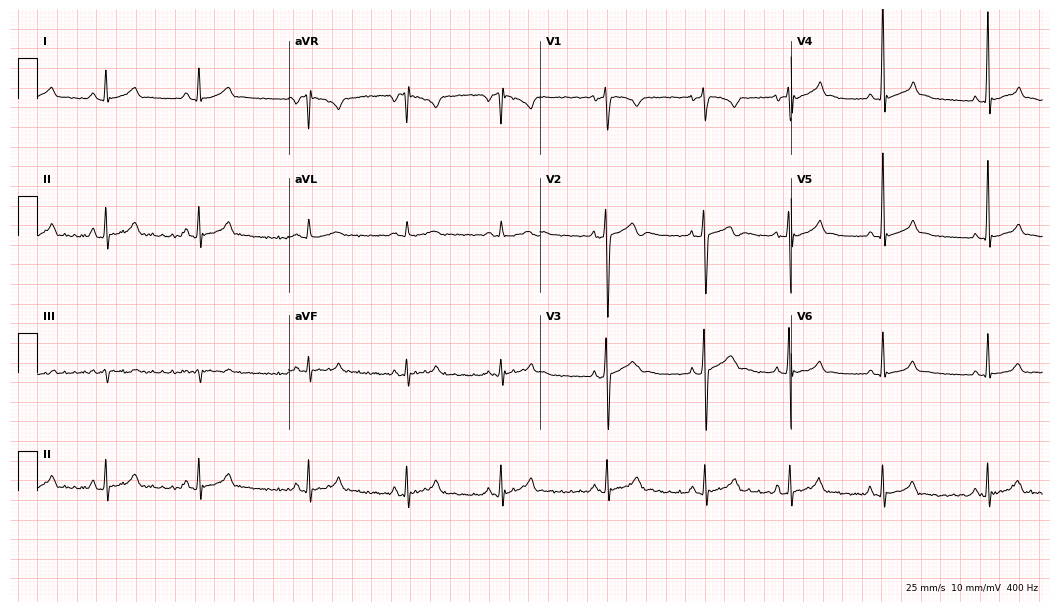
12-lead ECG from a 17-year-old man (10.2-second recording at 400 Hz). Recorded interpretation: within normal limits.